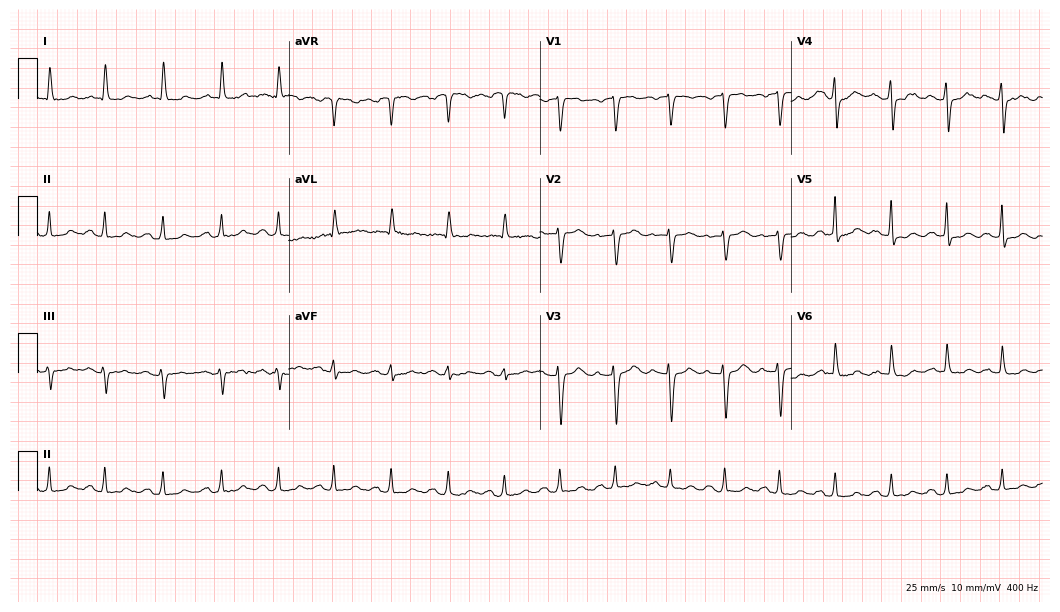
Standard 12-lead ECG recorded from a 64-year-old woman. The tracing shows sinus tachycardia (a sinus rate of 100 beats per minute or more).